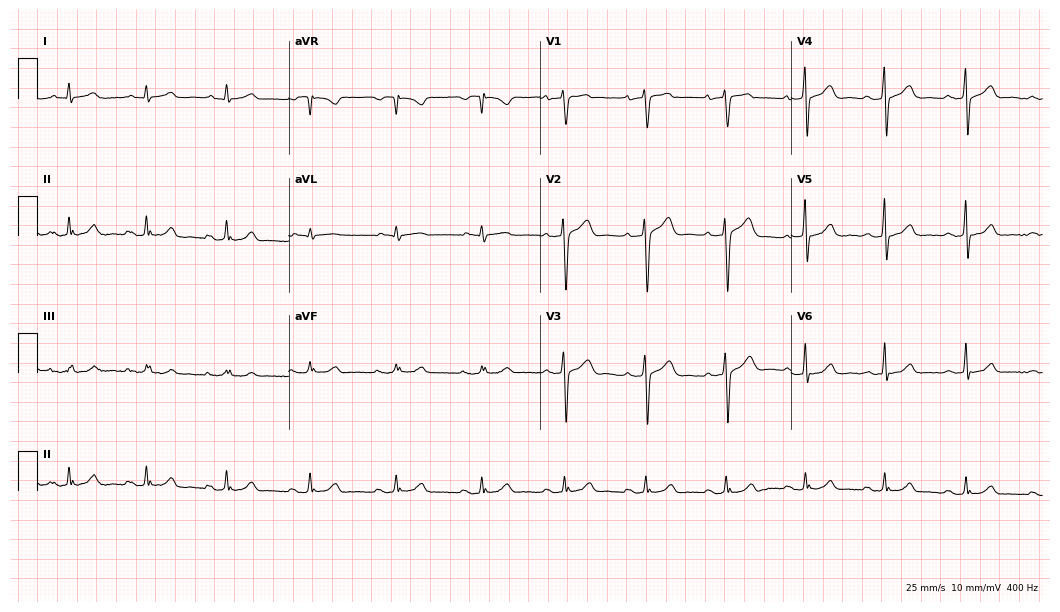
Electrocardiogram, a male patient, 51 years old. Overall reading on record: normal ECG.